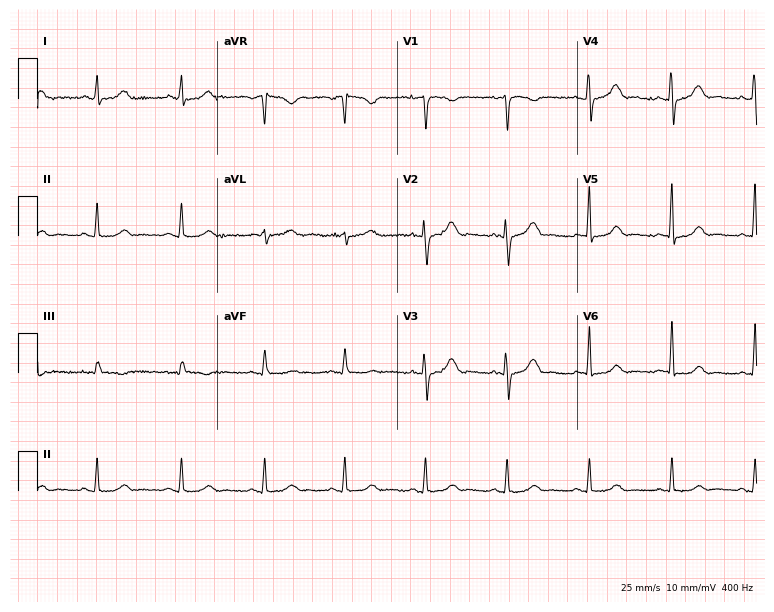
Resting 12-lead electrocardiogram (7.3-second recording at 400 Hz). Patient: a 45-year-old female. None of these six findings is recorded: first-degree AV block, right bundle branch block, left bundle branch block, sinus bradycardia, atrial fibrillation, sinus tachycardia. Only these six findings were labelled.